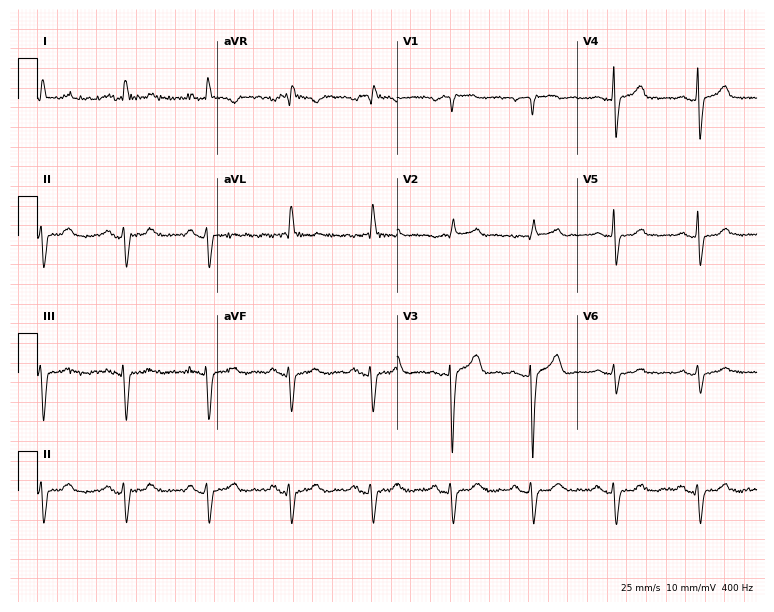
Standard 12-lead ECG recorded from an 83-year-old male. None of these six findings is recorded: first-degree AV block, right bundle branch block (RBBB), left bundle branch block (LBBB), sinus bradycardia, atrial fibrillation (AF), sinus tachycardia. Findings outside these six are not listed.